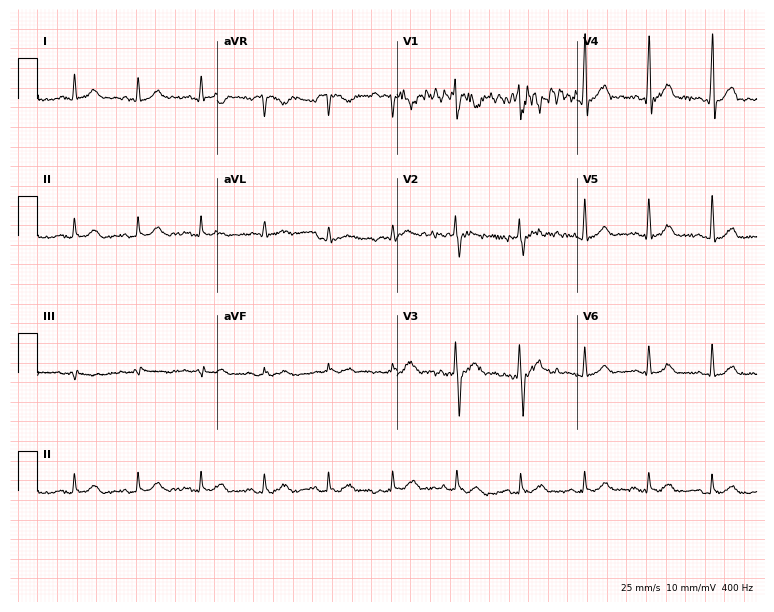
Resting 12-lead electrocardiogram. Patient: a 54-year-old man. None of these six findings is recorded: first-degree AV block, right bundle branch block, left bundle branch block, sinus bradycardia, atrial fibrillation, sinus tachycardia.